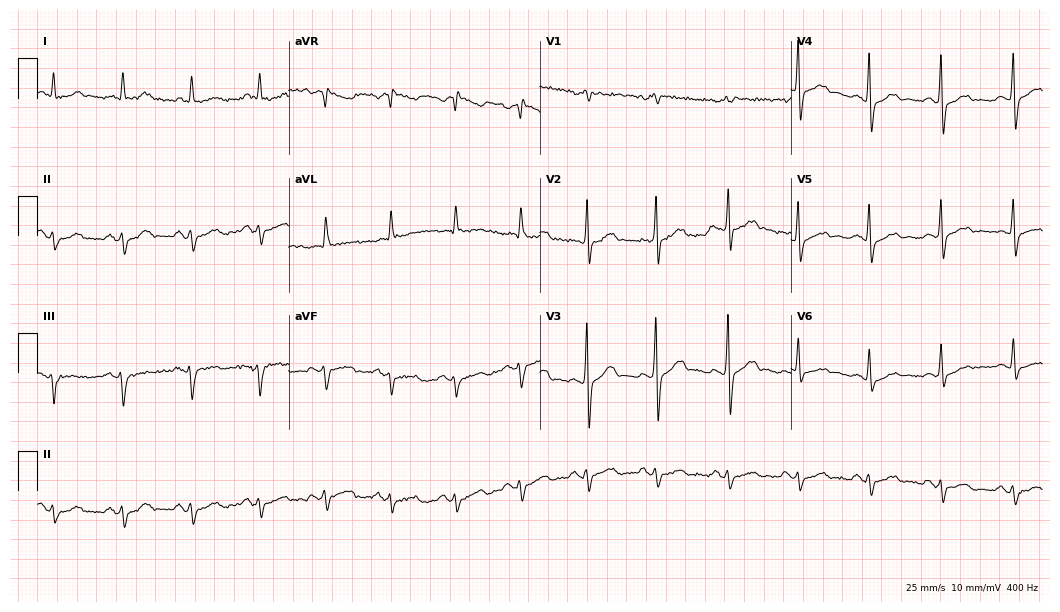
Resting 12-lead electrocardiogram (10.2-second recording at 400 Hz). Patient: a 56-year-old man. None of these six findings is recorded: first-degree AV block, right bundle branch block, left bundle branch block, sinus bradycardia, atrial fibrillation, sinus tachycardia. Only these six findings were labelled.